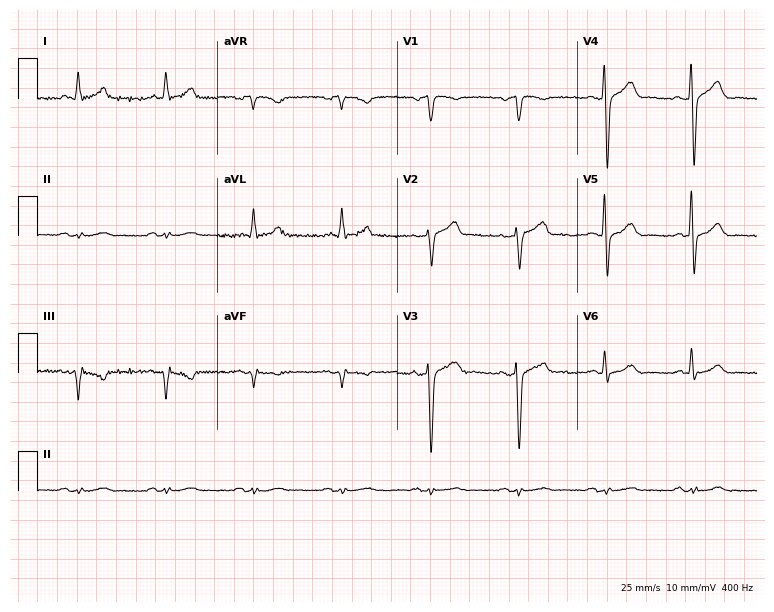
12-lead ECG from a male, 62 years old (7.3-second recording at 400 Hz). Recorded interpretation: within normal limits.